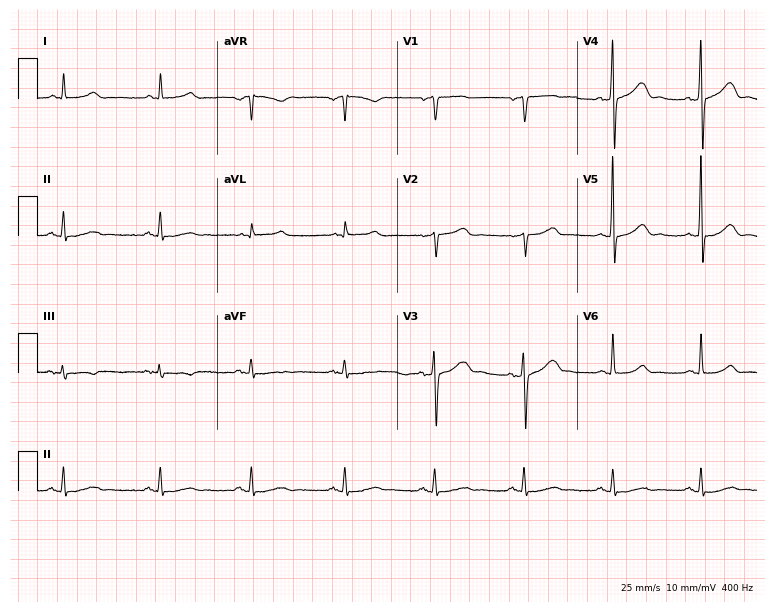
12-lead ECG from a 53-year-old man. Labelled as a normal ECG.